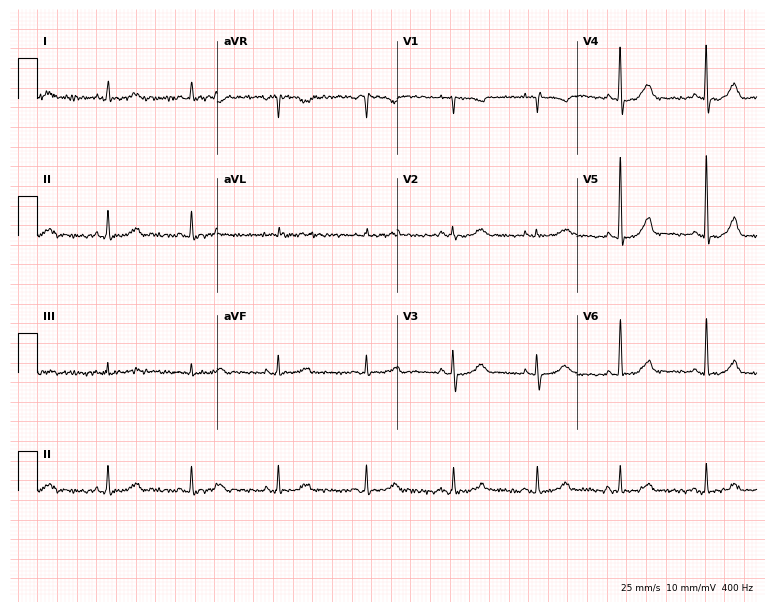
12-lead ECG from a woman, 66 years old. No first-degree AV block, right bundle branch block, left bundle branch block, sinus bradycardia, atrial fibrillation or sinus tachycardia recorded for this tracing.